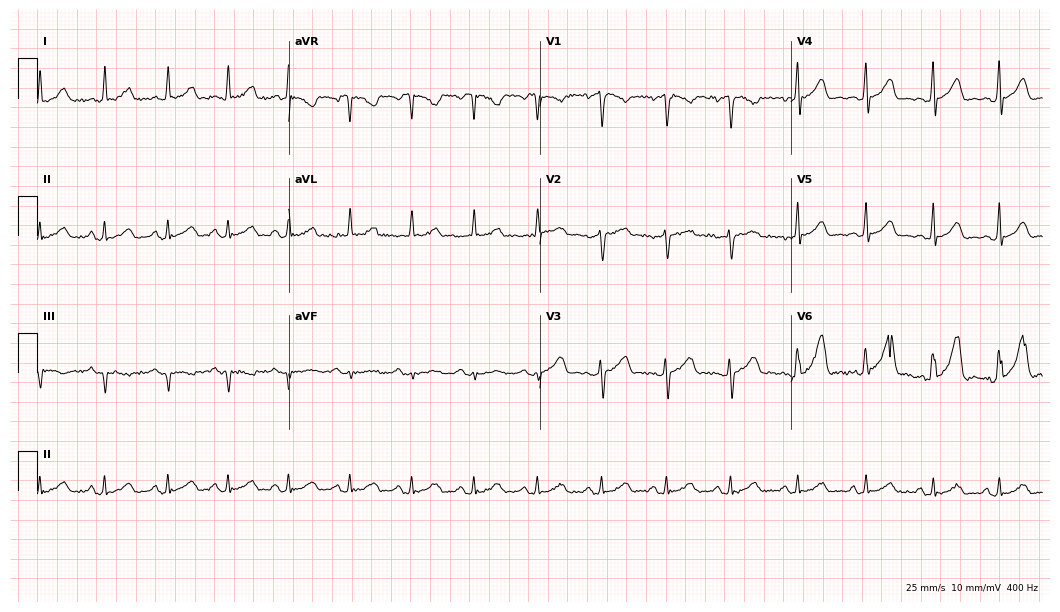
Electrocardiogram, a 62-year-old female. Overall reading on record: normal ECG.